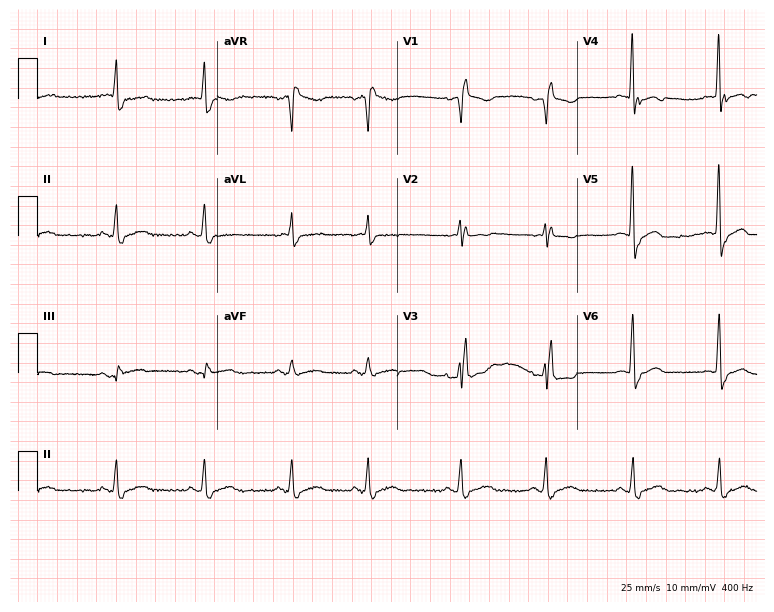
ECG (7.3-second recording at 400 Hz) — a 74-year-old woman. Findings include right bundle branch block (RBBB).